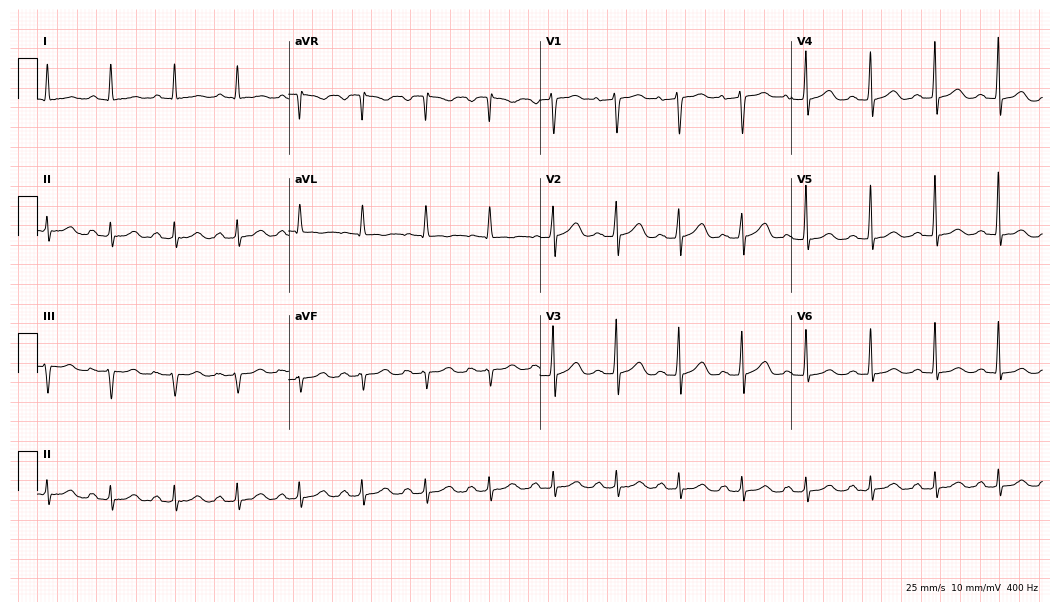
Electrocardiogram, a female patient, 68 years old. Overall reading on record: normal ECG.